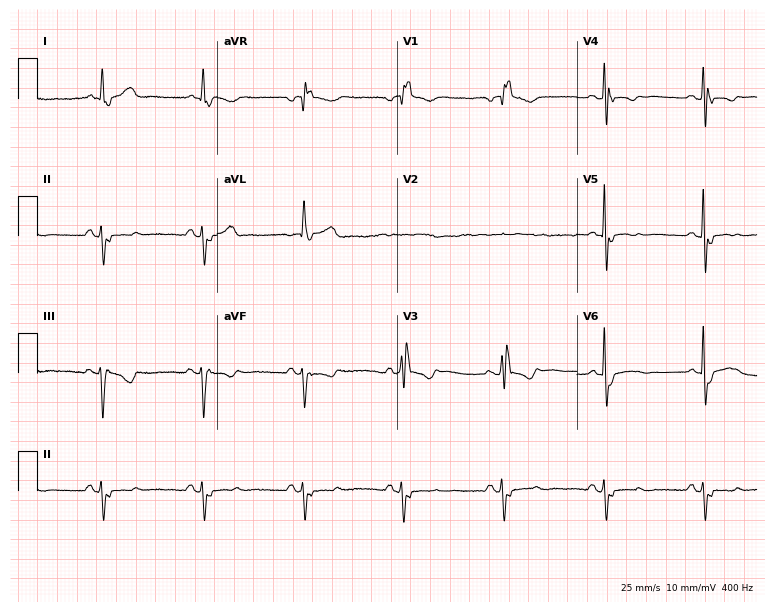
Resting 12-lead electrocardiogram (7.3-second recording at 400 Hz). Patient: a 76-year-old woman. The tracing shows right bundle branch block.